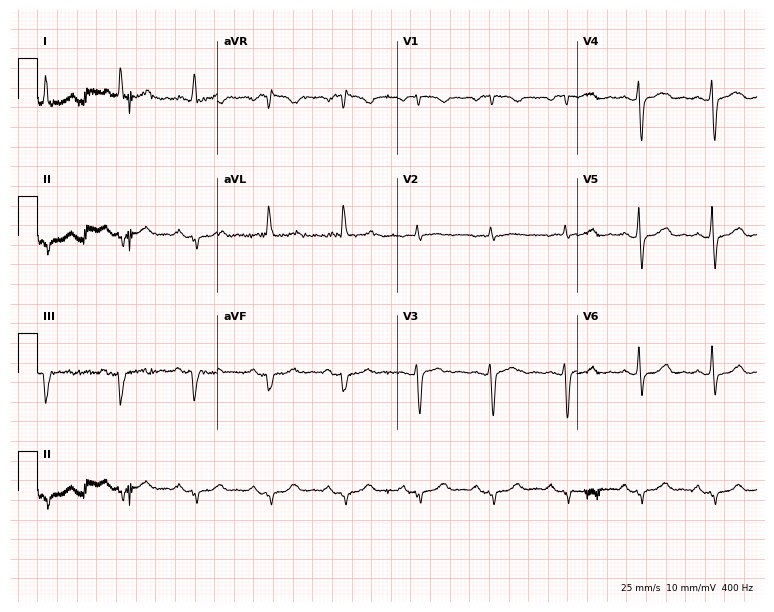
12-lead ECG from a 78-year-old female (7.3-second recording at 400 Hz). No first-degree AV block, right bundle branch block, left bundle branch block, sinus bradycardia, atrial fibrillation or sinus tachycardia recorded for this tracing. Other findings, if any, are not listed.